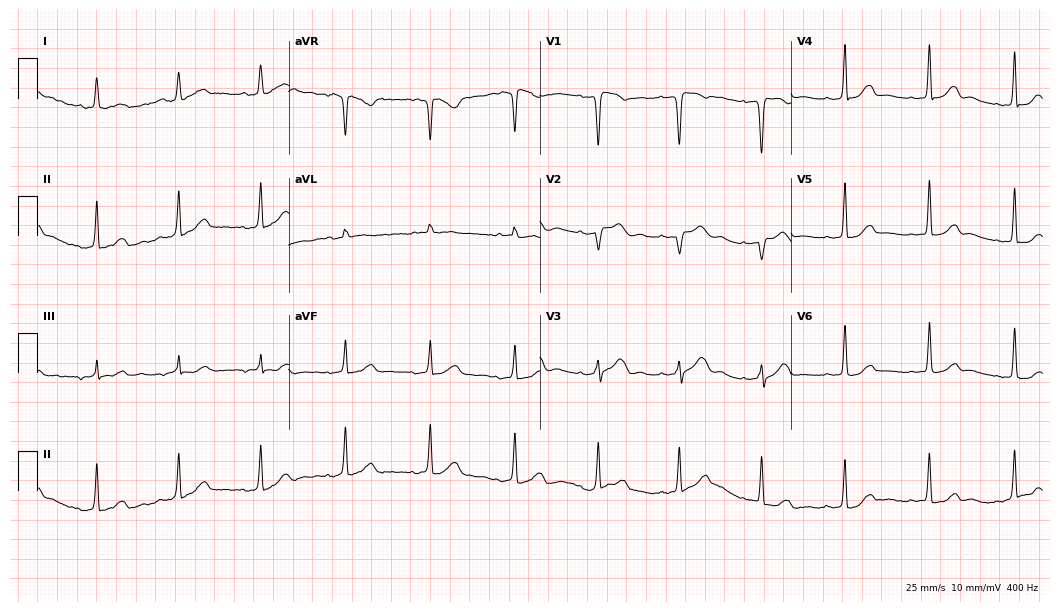
ECG — a 44-year-old female patient. Screened for six findings — first-degree AV block, right bundle branch block, left bundle branch block, sinus bradycardia, atrial fibrillation, sinus tachycardia — none is recorded.